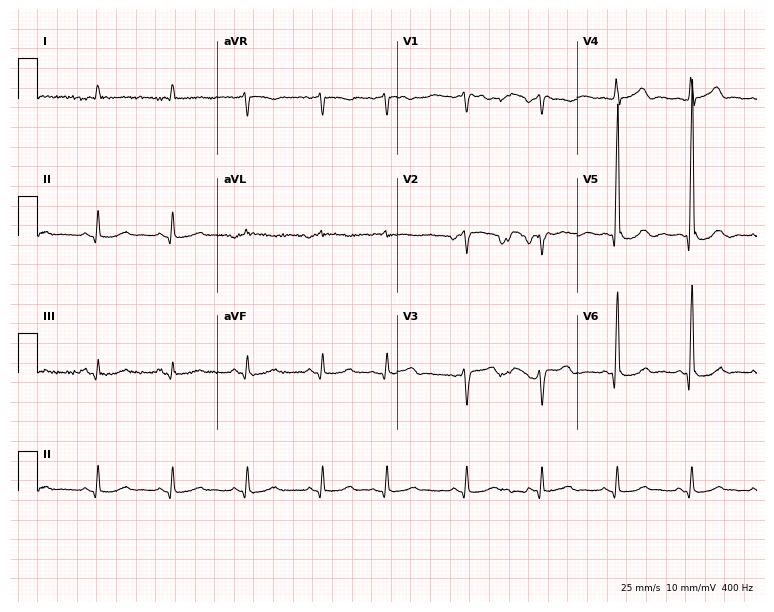
12-lead ECG from a man, 73 years old. Screened for six findings — first-degree AV block, right bundle branch block, left bundle branch block, sinus bradycardia, atrial fibrillation, sinus tachycardia — none is recorded. Findings outside these six are not listed.